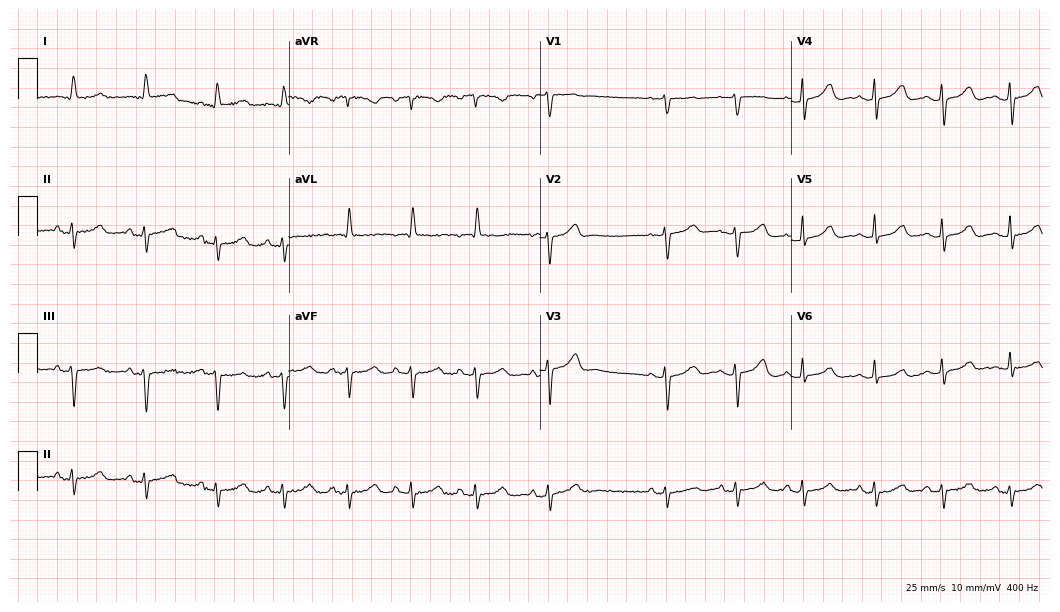
ECG (10.2-second recording at 400 Hz) — a 66-year-old female patient. Labelled as a normal ECG.